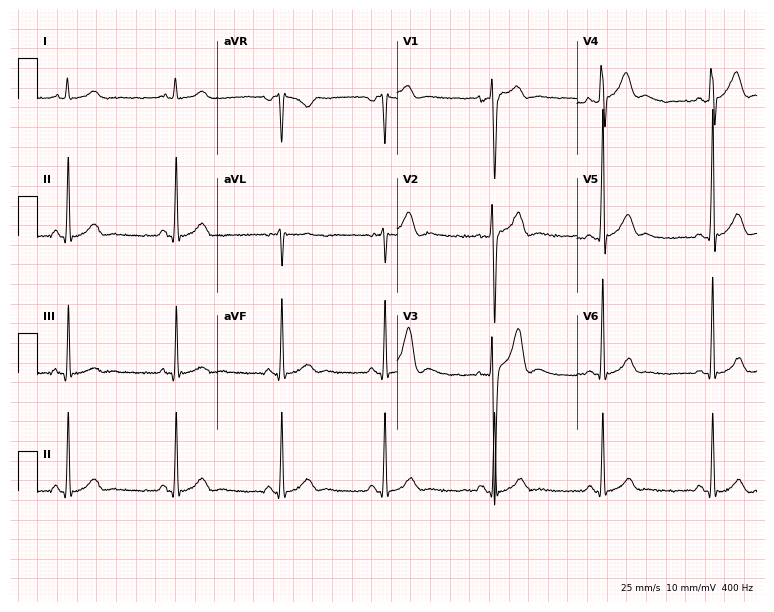
Standard 12-lead ECG recorded from a male, 24 years old (7.3-second recording at 400 Hz). Read as a normal ECG.